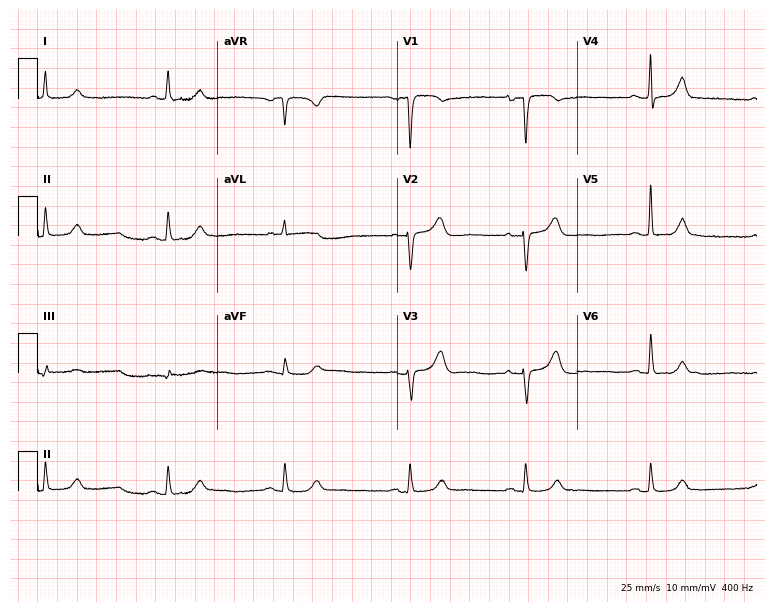
12-lead ECG from an 80-year-old female (7.3-second recording at 400 Hz). Recorded interpretation: within normal limits.